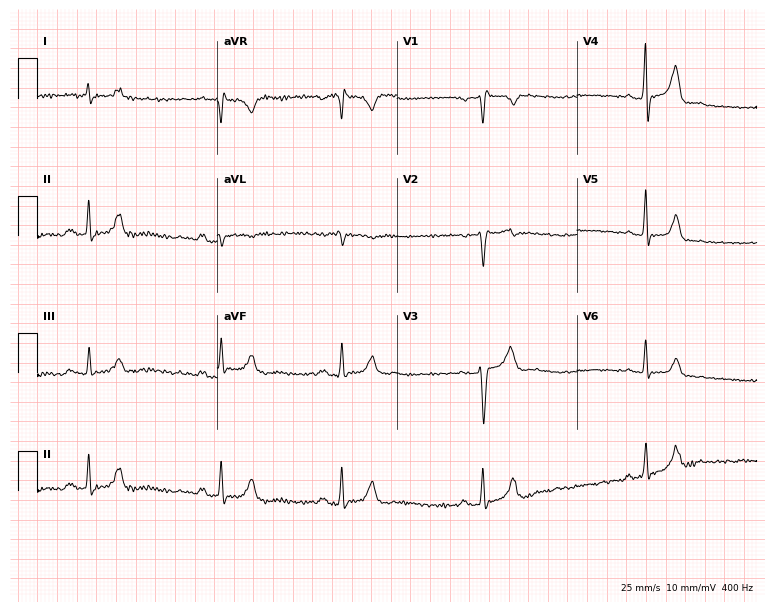
12-lead ECG (7.3-second recording at 400 Hz) from a 38-year-old male. Screened for six findings — first-degree AV block, right bundle branch block (RBBB), left bundle branch block (LBBB), sinus bradycardia, atrial fibrillation (AF), sinus tachycardia — none is recorded.